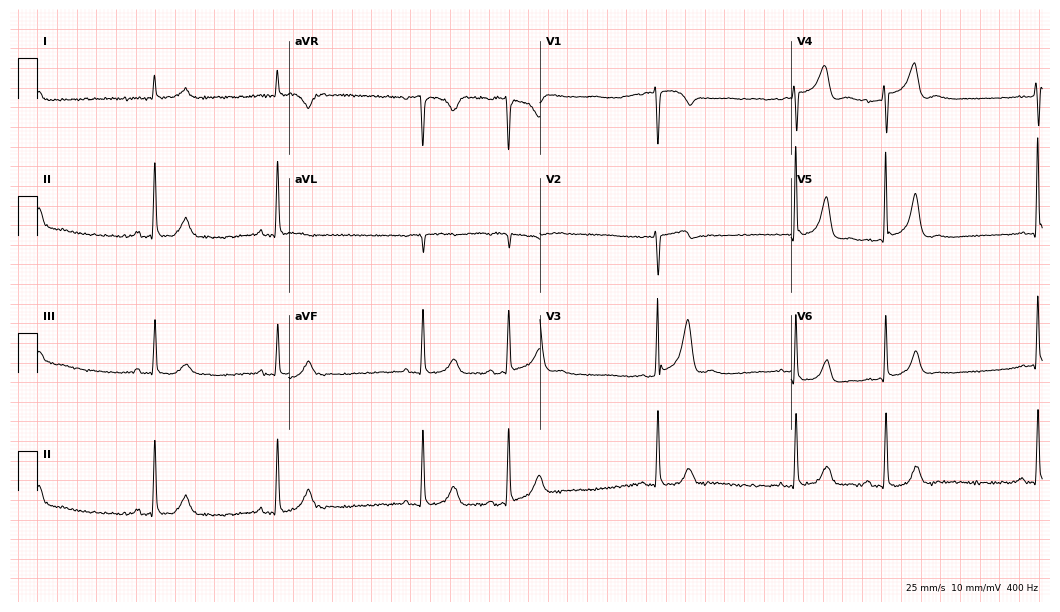
Resting 12-lead electrocardiogram. Patient: a woman, 83 years old. The tracing shows sinus bradycardia (a sinus rate of 50 beats per minute or less).